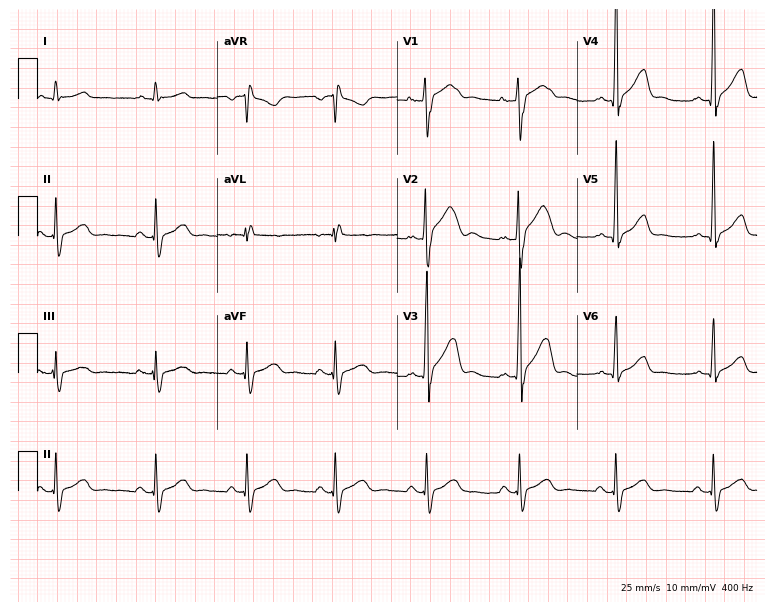
Resting 12-lead electrocardiogram (7.3-second recording at 400 Hz). Patient: a 19-year-old man. None of these six findings is recorded: first-degree AV block, right bundle branch block (RBBB), left bundle branch block (LBBB), sinus bradycardia, atrial fibrillation (AF), sinus tachycardia. Only these six findings were labelled.